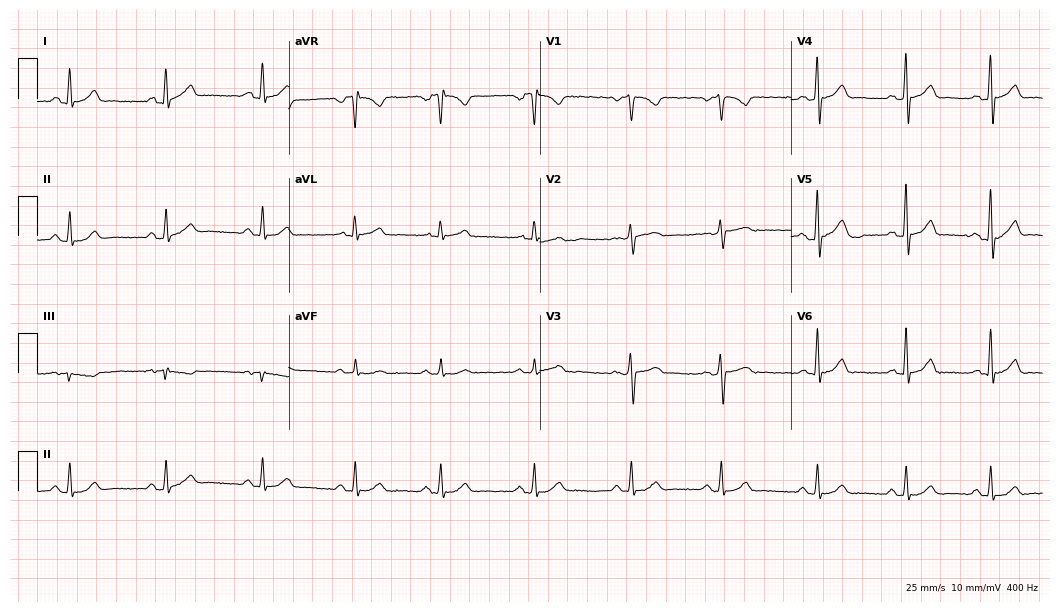
12-lead ECG from a 35-year-old woman (10.2-second recording at 400 Hz). Recorded interpretation: within normal limits.